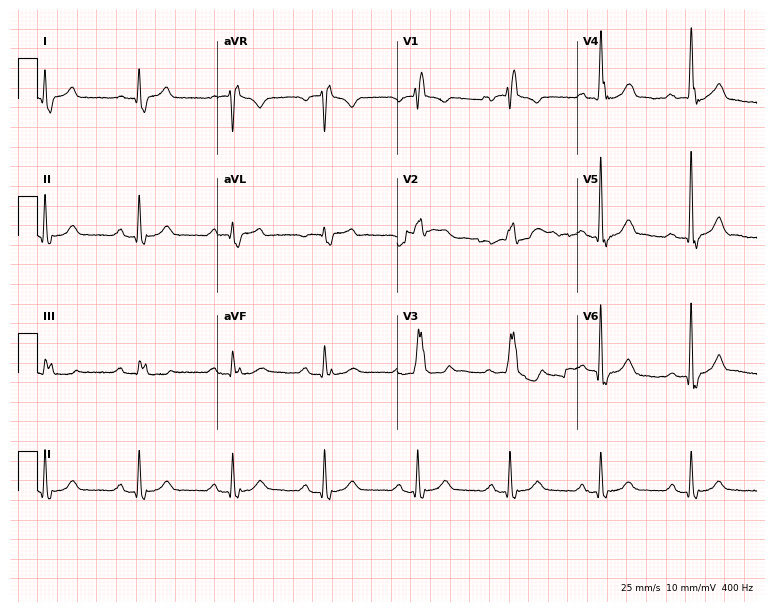
Resting 12-lead electrocardiogram (7.3-second recording at 400 Hz). Patient: a 66-year-old male. The tracing shows right bundle branch block.